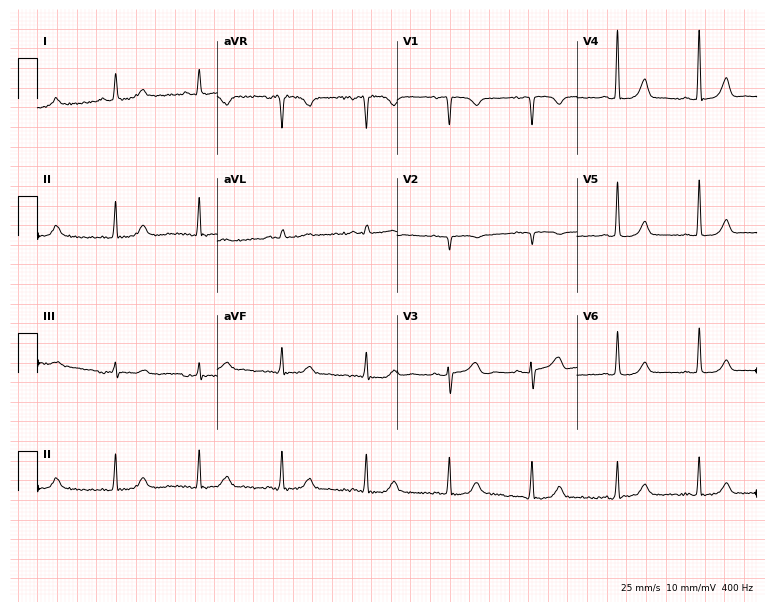
12-lead ECG from a 69-year-old female. Screened for six findings — first-degree AV block, right bundle branch block, left bundle branch block, sinus bradycardia, atrial fibrillation, sinus tachycardia — none is recorded. Only these six findings were labelled.